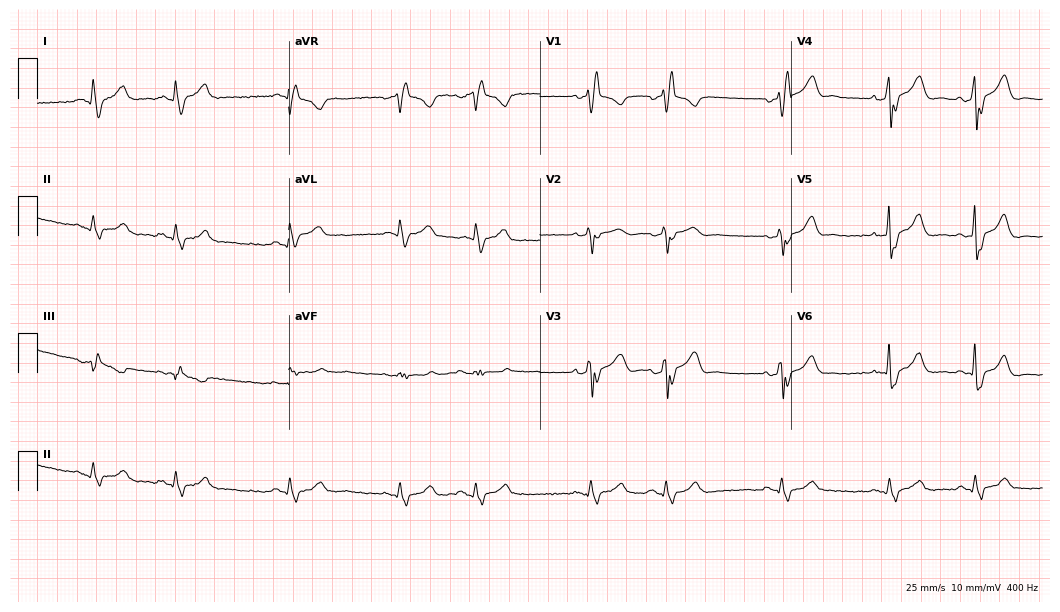
12-lead ECG from a 75-year-old male (10.2-second recording at 400 Hz). Shows right bundle branch block (RBBB).